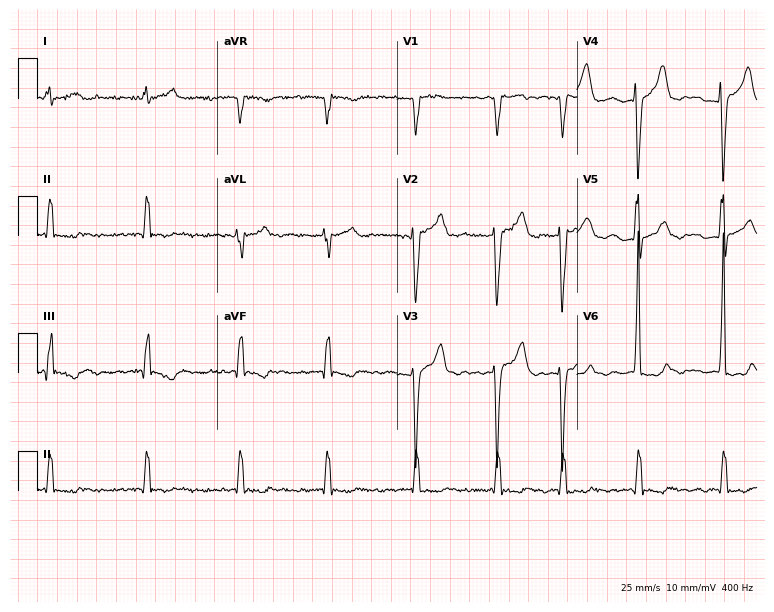
Resting 12-lead electrocardiogram (7.3-second recording at 400 Hz). Patient: a man, 45 years old. The tracing shows atrial fibrillation.